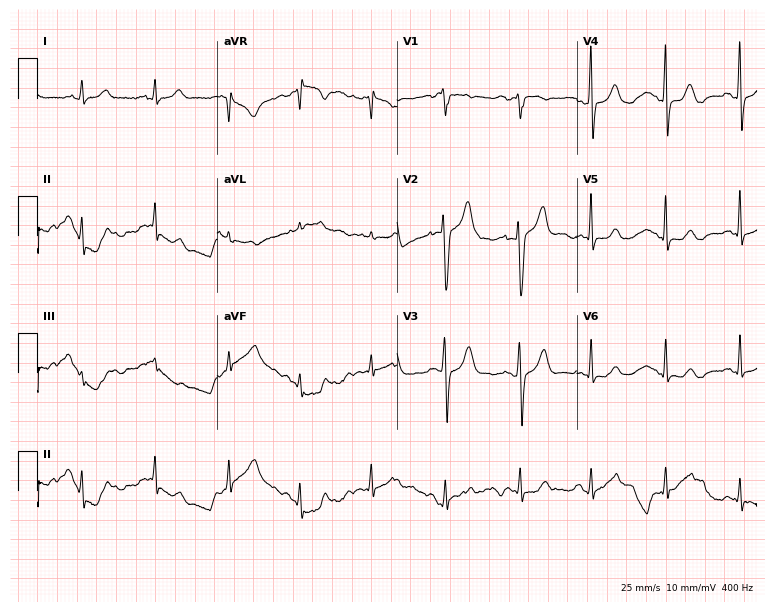
Standard 12-lead ECG recorded from a 40-year-old male patient. None of these six findings is recorded: first-degree AV block, right bundle branch block (RBBB), left bundle branch block (LBBB), sinus bradycardia, atrial fibrillation (AF), sinus tachycardia. Findings outside these six are not listed.